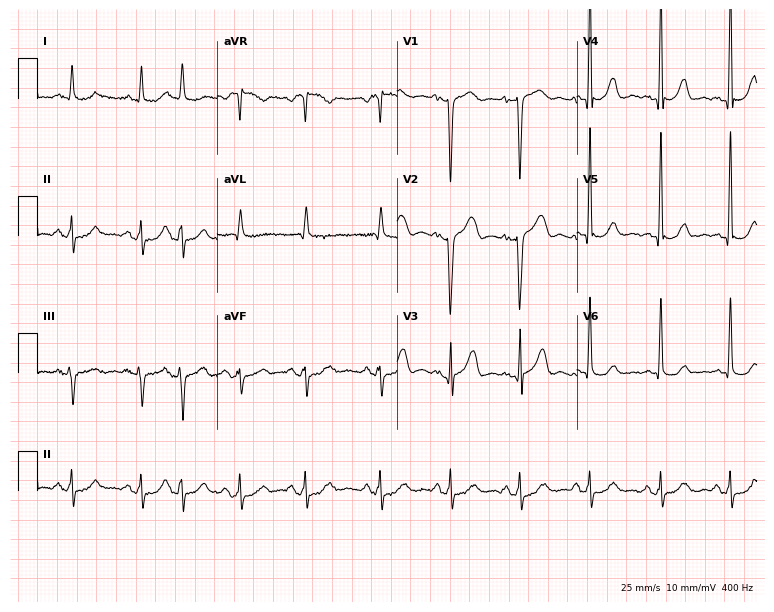
Standard 12-lead ECG recorded from a 71-year-old male patient. None of these six findings is recorded: first-degree AV block, right bundle branch block, left bundle branch block, sinus bradycardia, atrial fibrillation, sinus tachycardia. Other findings, if any, are not listed.